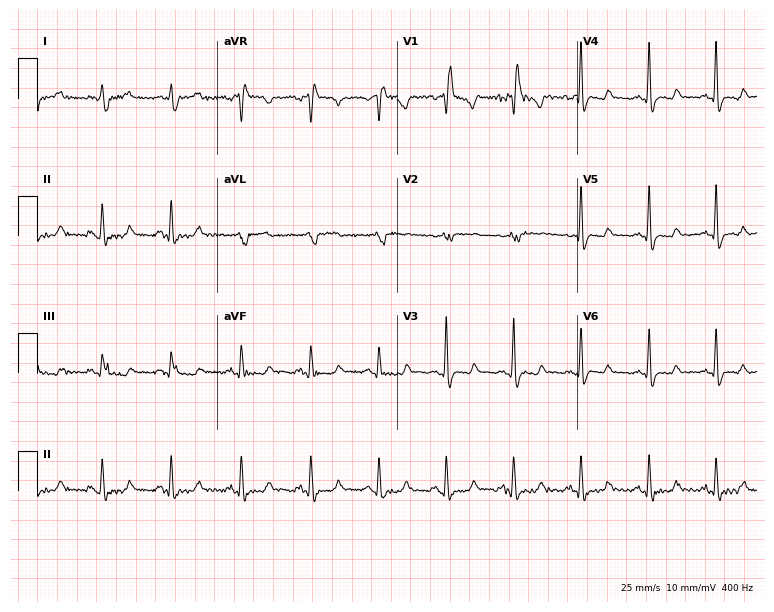
12-lead ECG from a male, 71 years old. Screened for six findings — first-degree AV block, right bundle branch block (RBBB), left bundle branch block (LBBB), sinus bradycardia, atrial fibrillation (AF), sinus tachycardia — none is recorded.